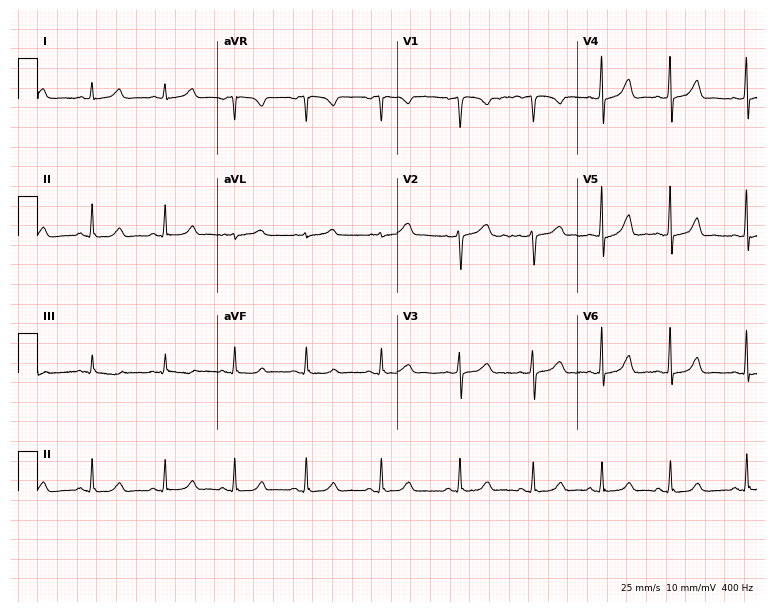
12-lead ECG from a 48-year-old woman (7.3-second recording at 400 Hz). Recorded interpretation: within normal limits.